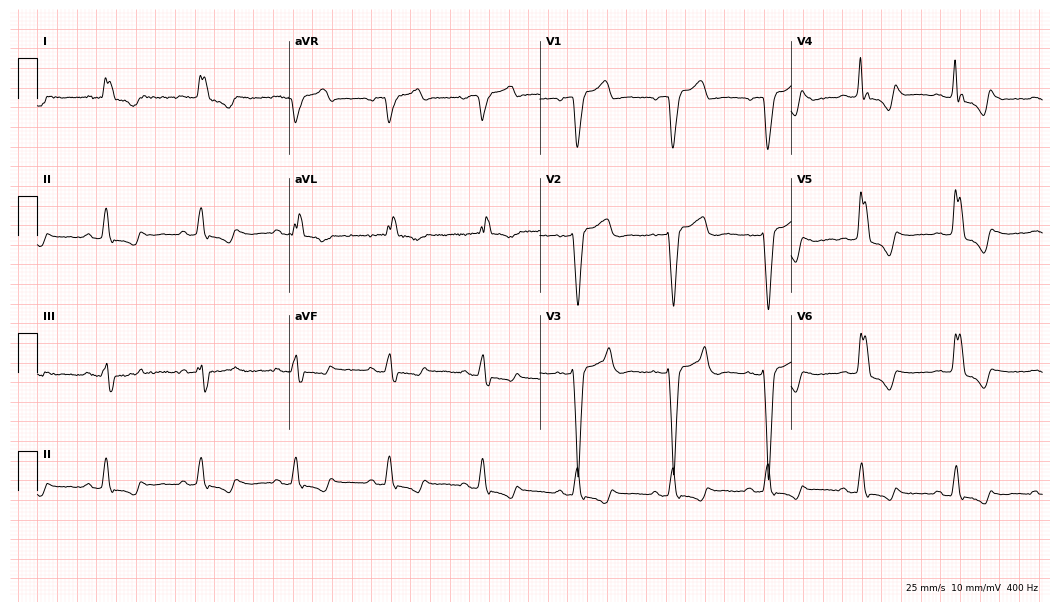
Resting 12-lead electrocardiogram. Patient: an 82-year-old woman. The tracing shows left bundle branch block.